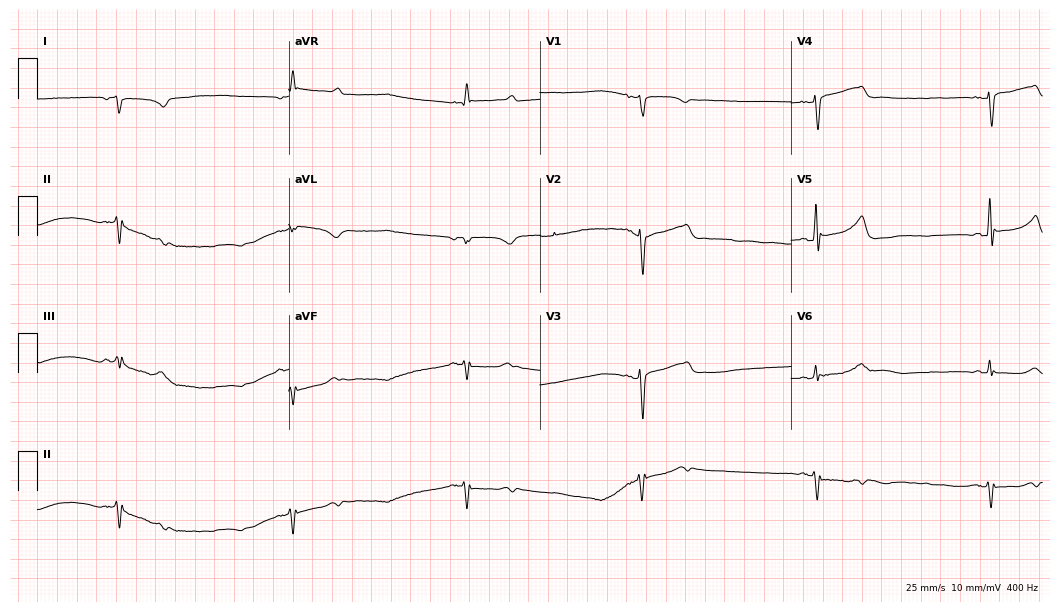
ECG — an 85-year-old woman. Screened for six findings — first-degree AV block, right bundle branch block, left bundle branch block, sinus bradycardia, atrial fibrillation, sinus tachycardia — none is recorded. Other findings, if any, are not listed.